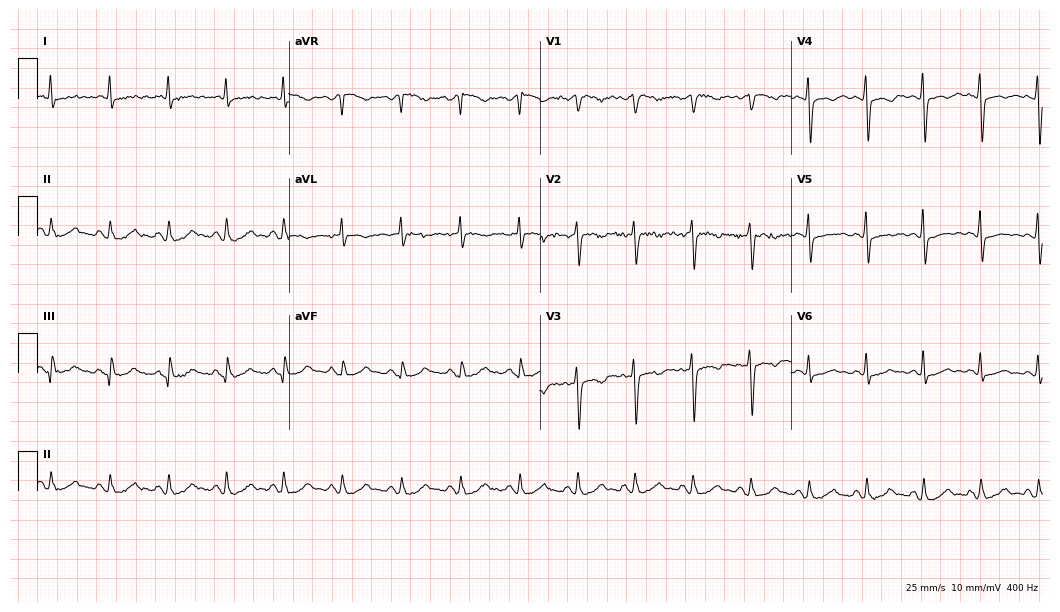
Electrocardiogram, a 64-year-old female patient. Interpretation includes sinus tachycardia (a sinus rate of 100 beats per minute or more).